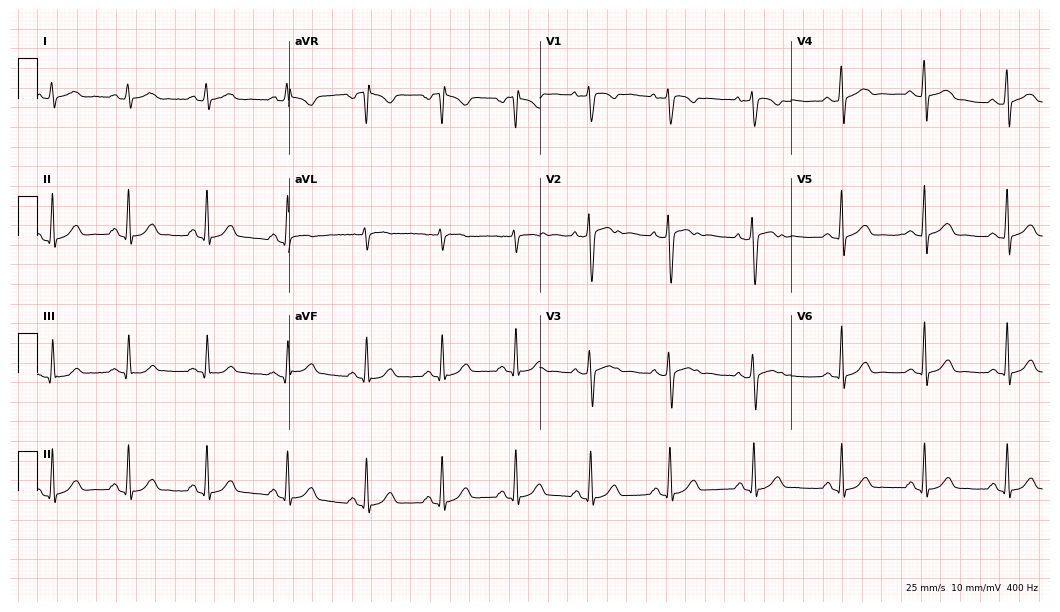
Standard 12-lead ECG recorded from a 26-year-old female (10.2-second recording at 400 Hz). Read as a normal ECG.